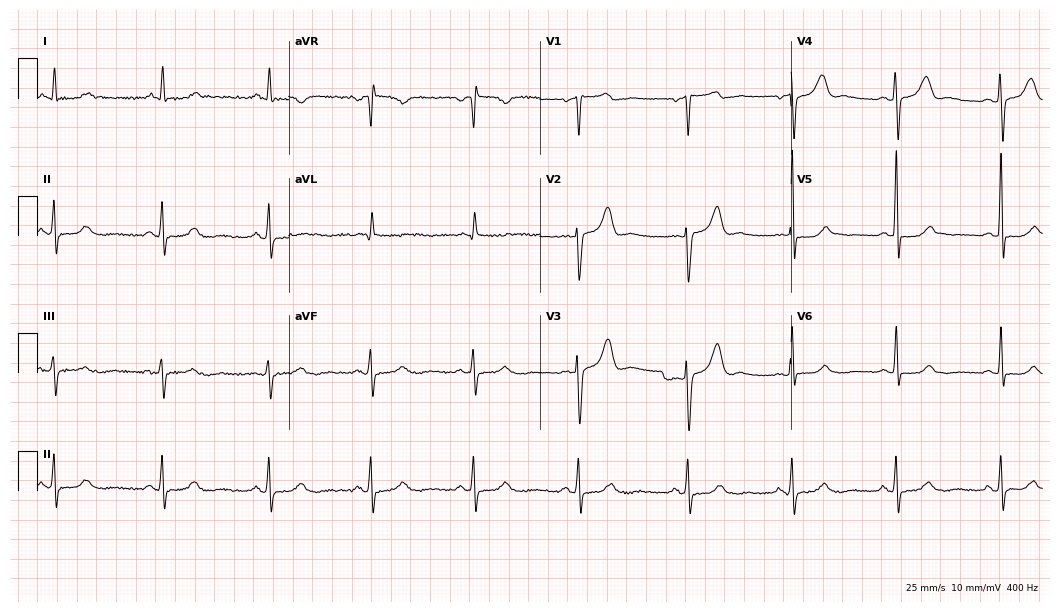
12-lead ECG from a woman, 63 years old (10.2-second recording at 400 Hz). Recorded interpretation: within normal limits.